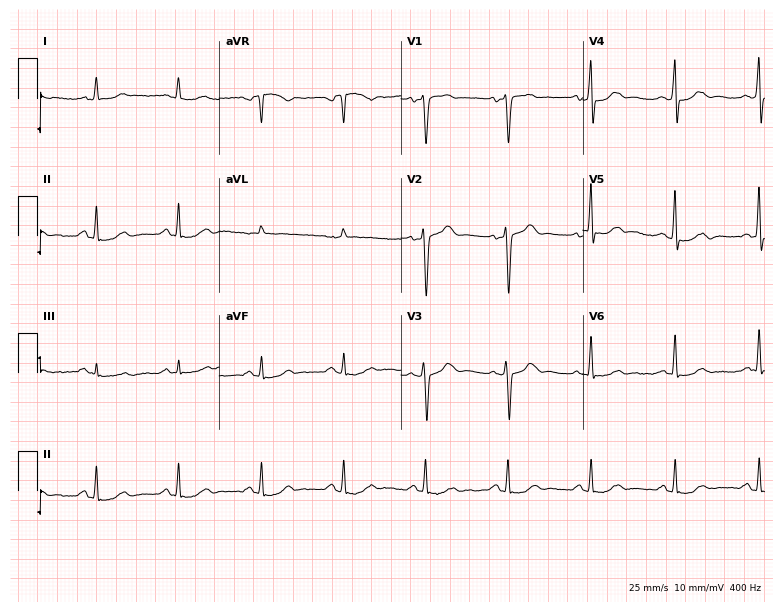
ECG — a 67-year-old man. Screened for six findings — first-degree AV block, right bundle branch block, left bundle branch block, sinus bradycardia, atrial fibrillation, sinus tachycardia — none is recorded. Other findings, if any, are not listed.